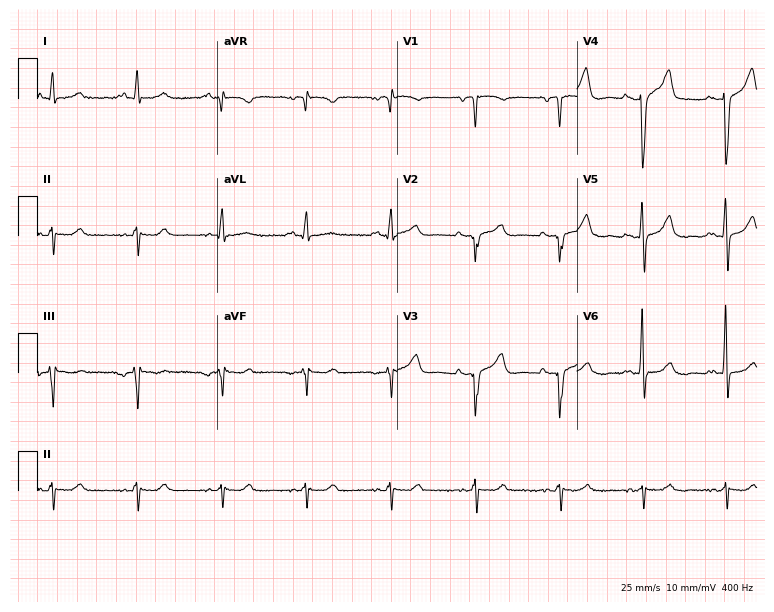
Electrocardiogram, a male, 77 years old. Of the six screened findings (first-degree AV block, right bundle branch block, left bundle branch block, sinus bradycardia, atrial fibrillation, sinus tachycardia), none is recorded.